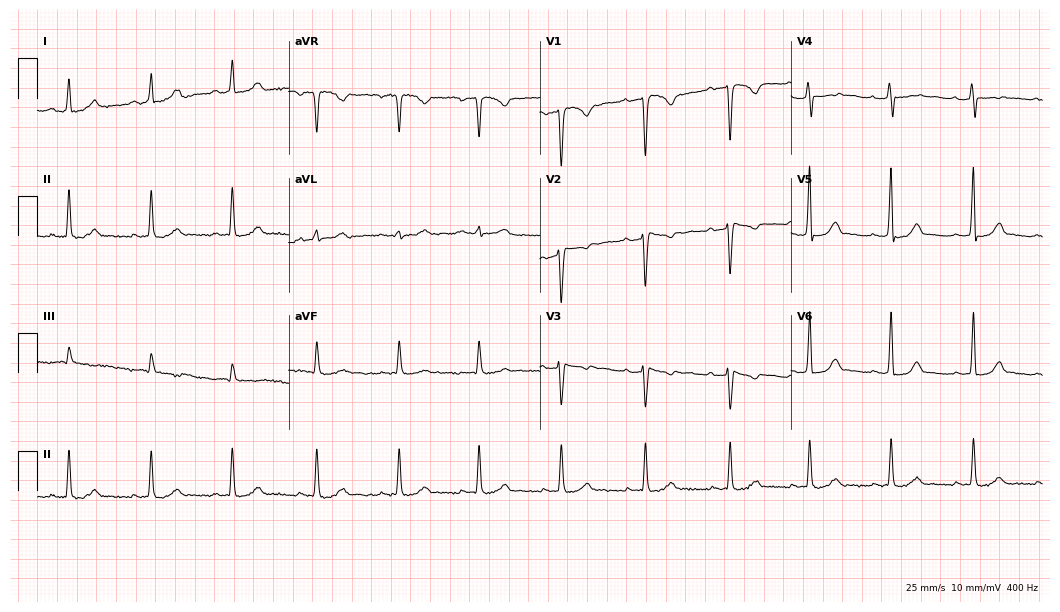
Electrocardiogram (10.2-second recording at 400 Hz), a female, 37 years old. Of the six screened findings (first-degree AV block, right bundle branch block, left bundle branch block, sinus bradycardia, atrial fibrillation, sinus tachycardia), none is recorded. Other findings, if any, are not listed.